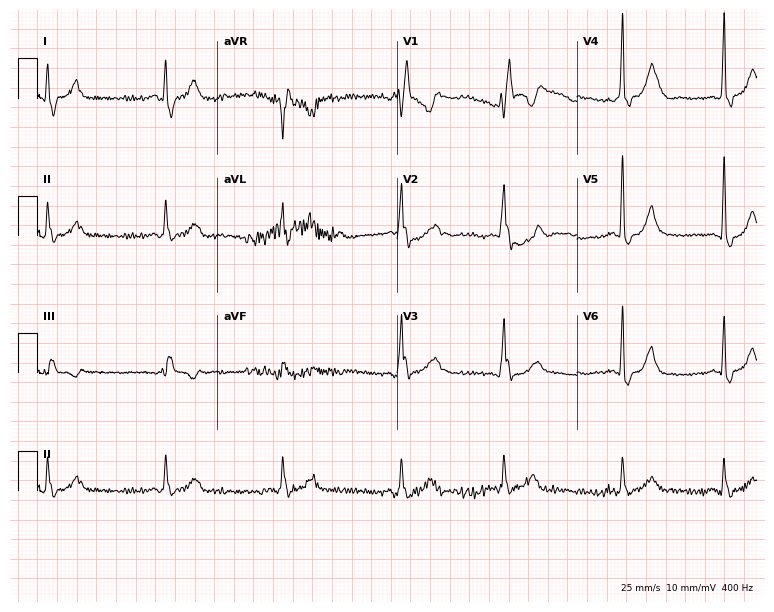
ECG — a 20-year-old female. Findings include right bundle branch block.